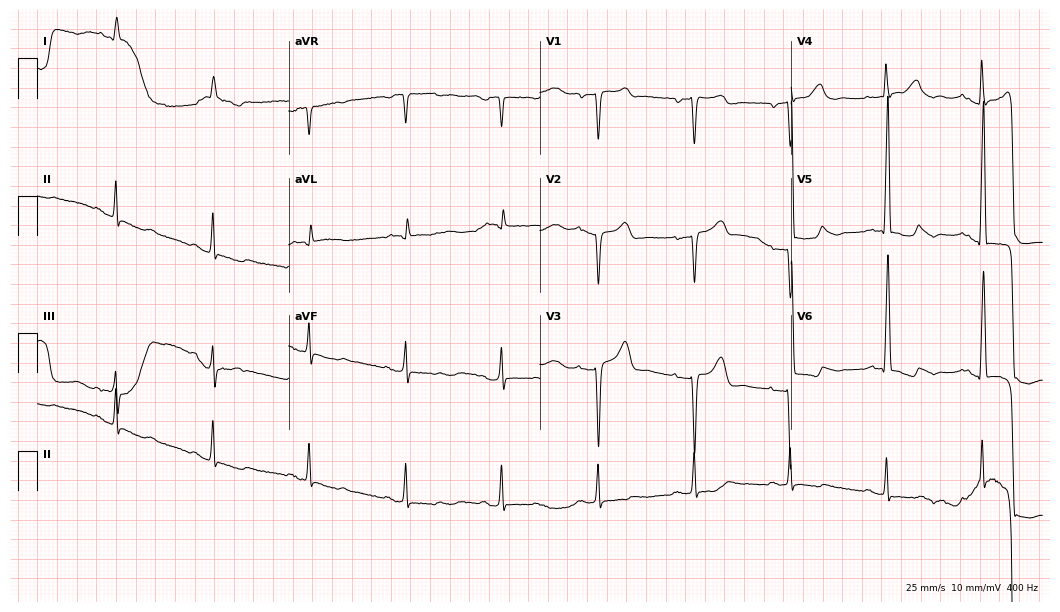
Resting 12-lead electrocardiogram. Patient: an 83-year-old male. None of these six findings is recorded: first-degree AV block, right bundle branch block, left bundle branch block, sinus bradycardia, atrial fibrillation, sinus tachycardia. Findings outside these six are not listed.